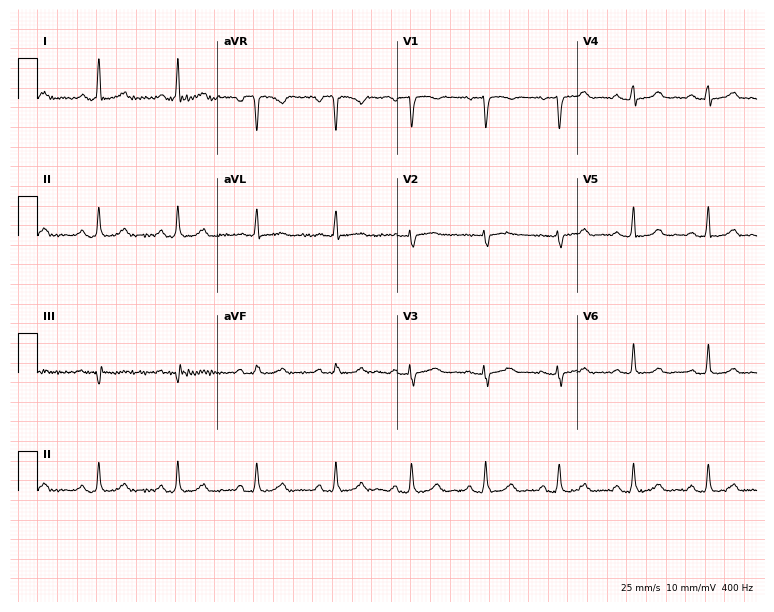
ECG (7.3-second recording at 400 Hz) — a 36-year-old female. Labelled as a normal ECG.